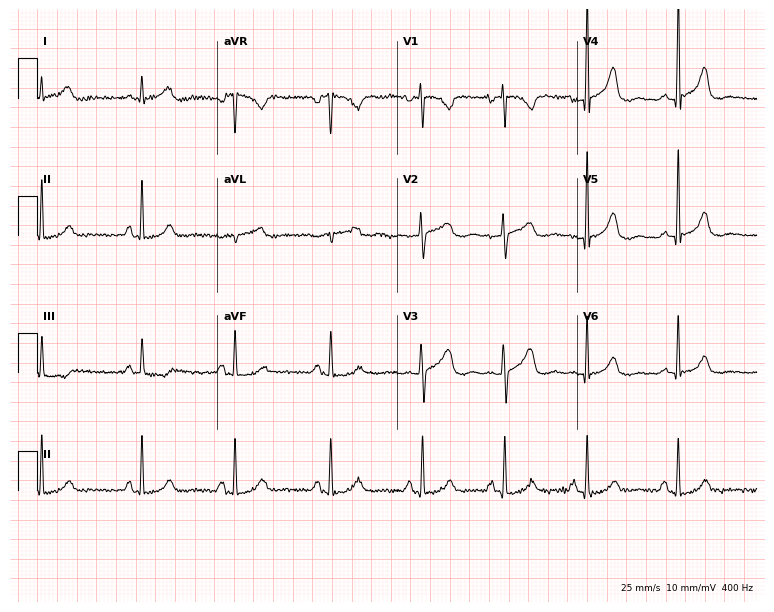
12-lead ECG from a 56-year-old female patient. Screened for six findings — first-degree AV block, right bundle branch block (RBBB), left bundle branch block (LBBB), sinus bradycardia, atrial fibrillation (AF), sinus tachycardia — none is recorded. Only these six findings were labelled.